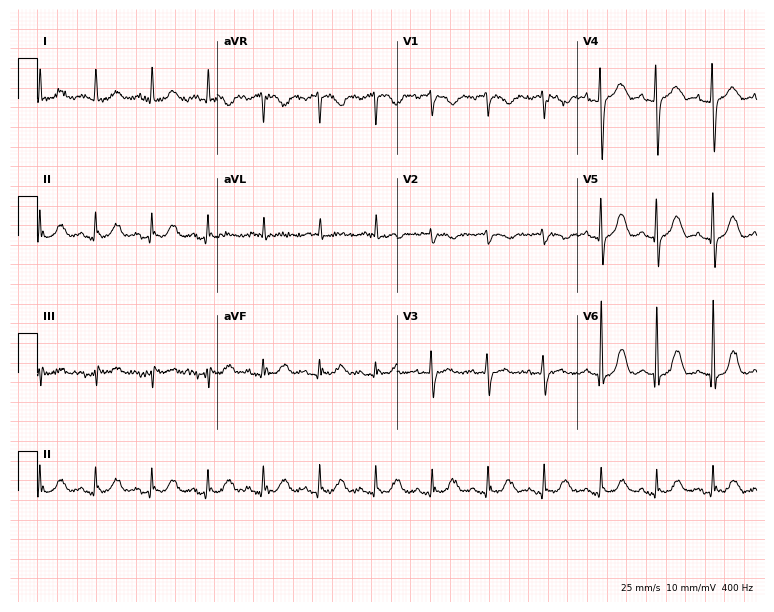
12-lead ECG from an 84-year-old female. Findings include sinus tachycardia (a sinus rate of 100 beats per minute or more).